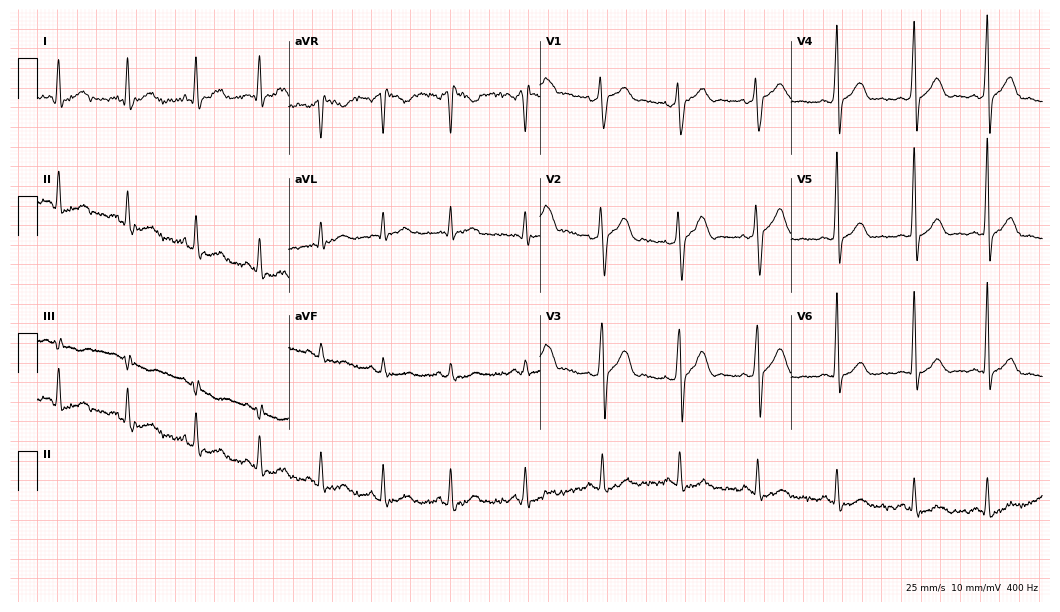
Resting 12-lead electrocardiogram. Patient: a male, 47 years old. None of these six findings is recorded: first-degree AV block, right bundle branch block (RBBB), left bundle branch block (LBBB), sinus bradycardia, atrial fibrillation (AF), sinus tachycardia. Only these six findings were labelled.